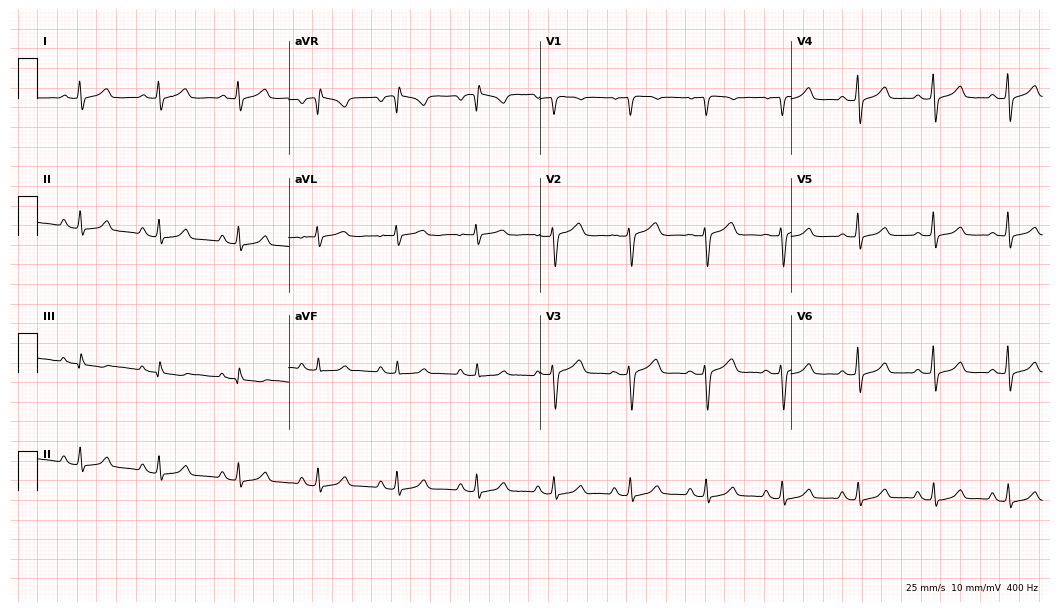
12-lead ECG from a female, 54 years old (10.2-second recording at 400 Hz). Recorded interpretation: within normal limits.